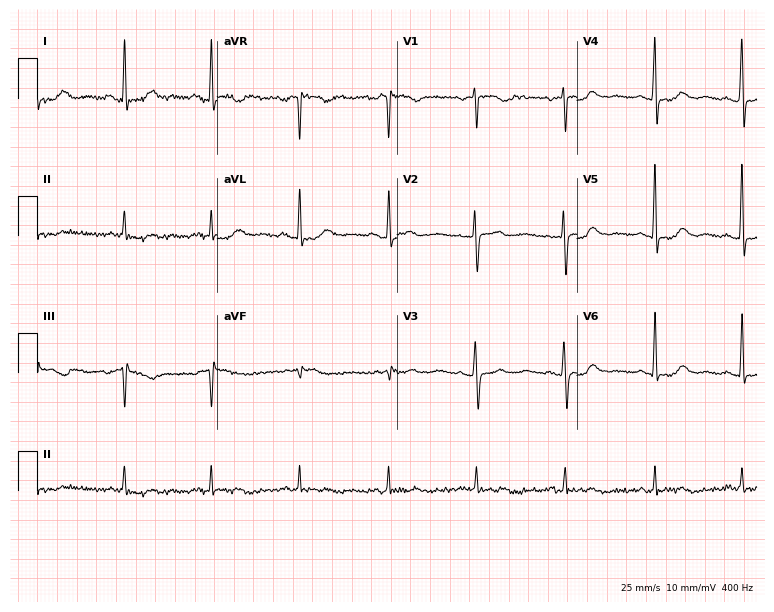
Electrocardiogram (7.3-second recording at 400 Hz), a 60-year-old female patient. Of the six screened findings (first-degree AV block, right bundle branch block, left bundle branch block, sinus bradycardia, atrial fibrillation, sinus tachycardia), none is recorded.